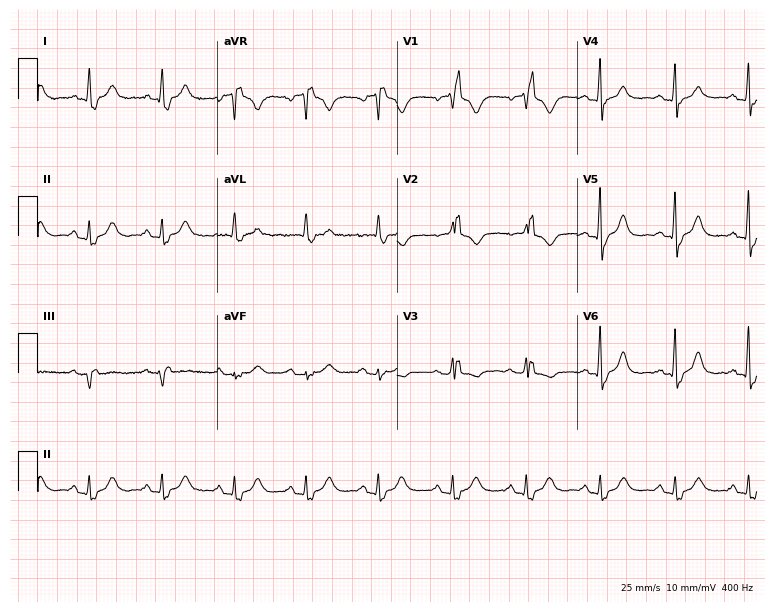
Resting 12-lead electrocardiogram. Patient: a 70-year-old woman. None of these six findings is recorded: first-degree AV block, right bundle branch block, left bundle branch block, sinus bradycardia, atrial fibrillation, sinus tachycardia. Other findings, if any, are not listed.